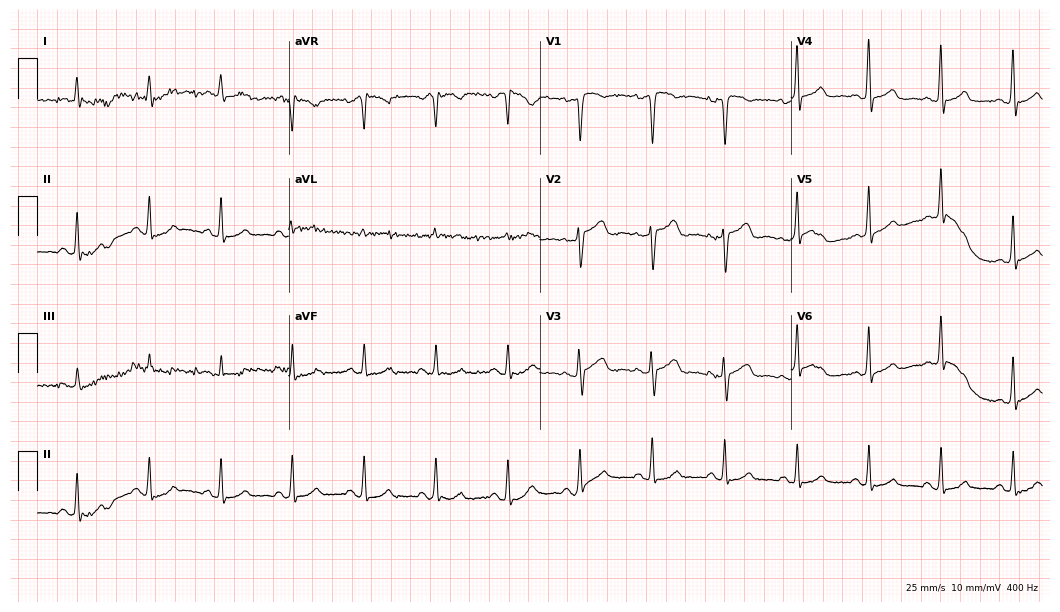
ECG (10.2-second recording at 400 Hz) — a female patient, 54 years old. Labelled as a normal ECG.